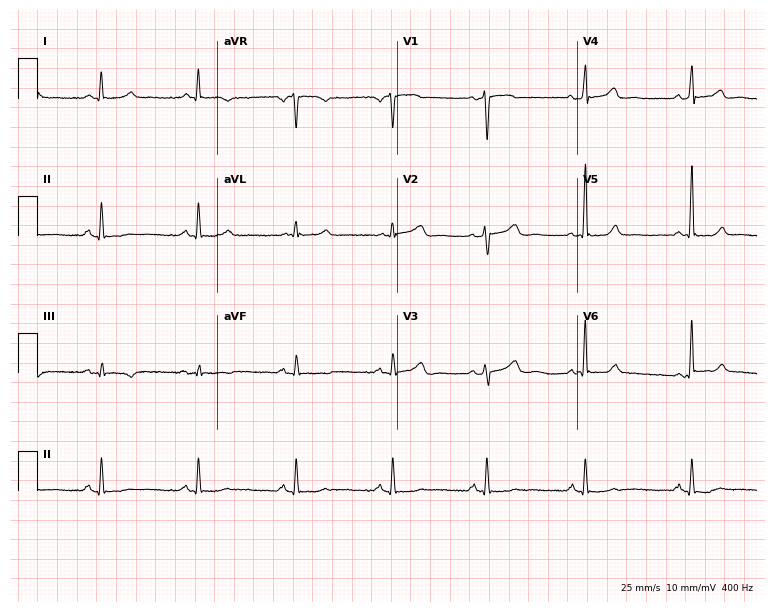
12-lead ECG from a woman, 58 years old. Screened for six findings — first-degree AV block, right bundle branch block (RBBB), left bundle branch block (LBBB), sinus bradycardia, atrial fibrillation (AF), sinus tachycardia — none is recorded.